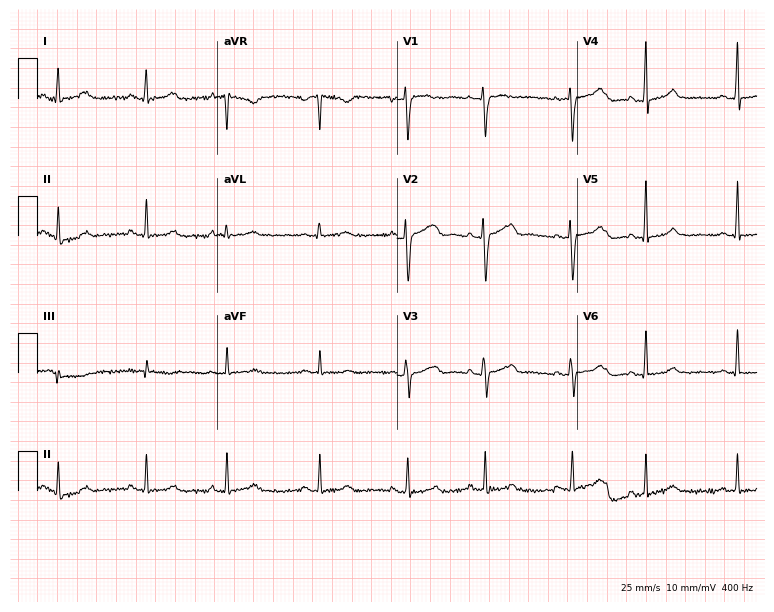
12-lead ECG from a woman, 37 years old. Recorded interpretation: within normal limits.